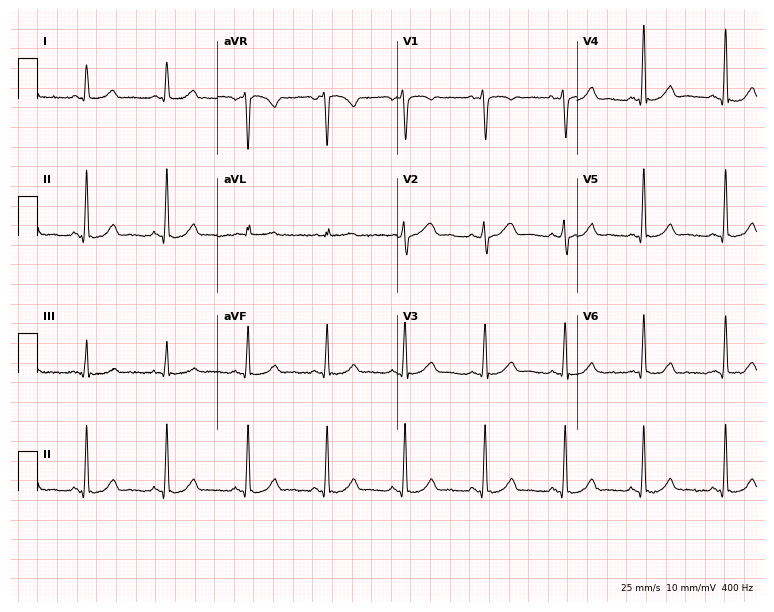
Standard 12-lead ECG recorded from a female, 32 years old (7.3-second recording at 400 Hz). Read as a normal ECG.